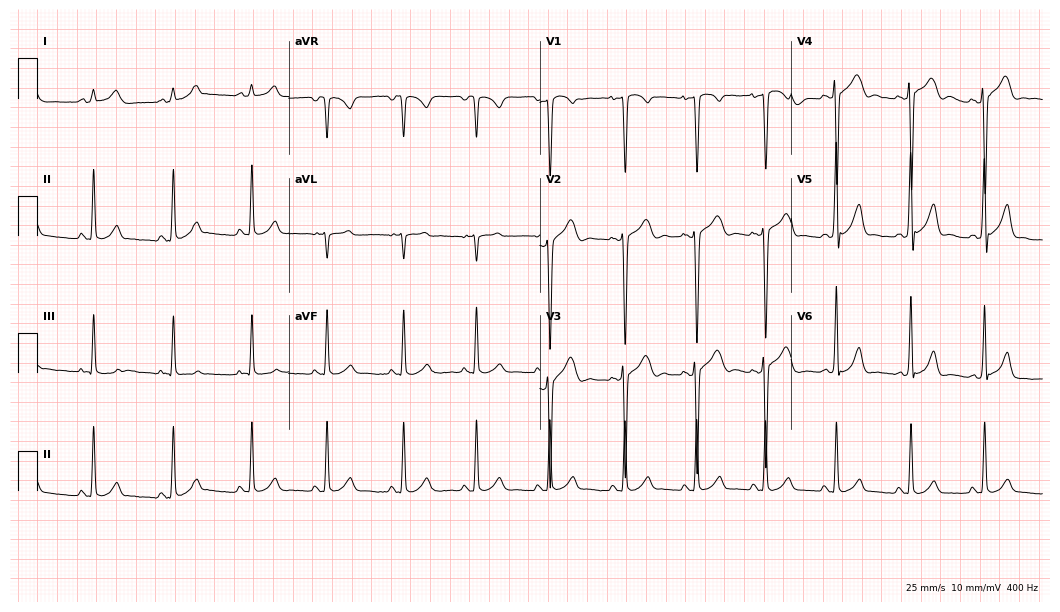
12-lead ECG from a man, 18 years old. Recorded interpretation: within normal limits.